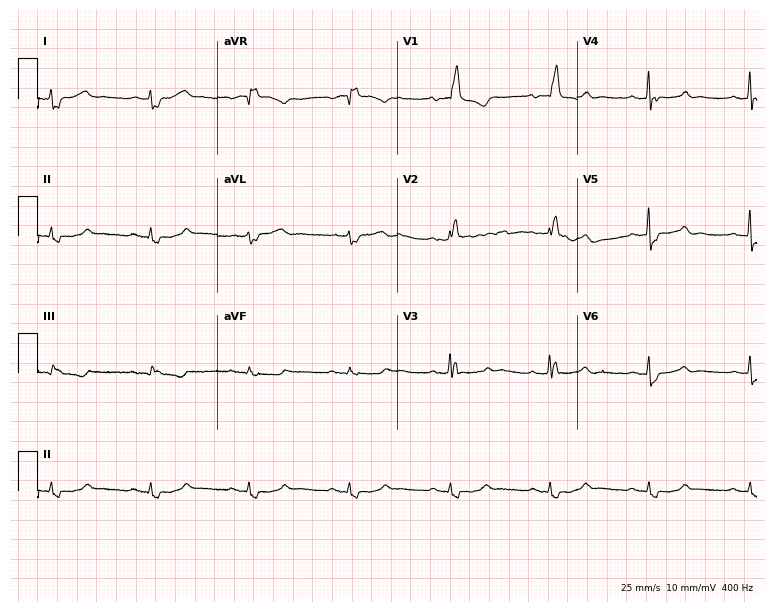
Standard 12-lead ECG recorded from a woman, 78 years old (7.3-second recording at 400 Hz). The tracing shows right bundle branch block (RBBB).